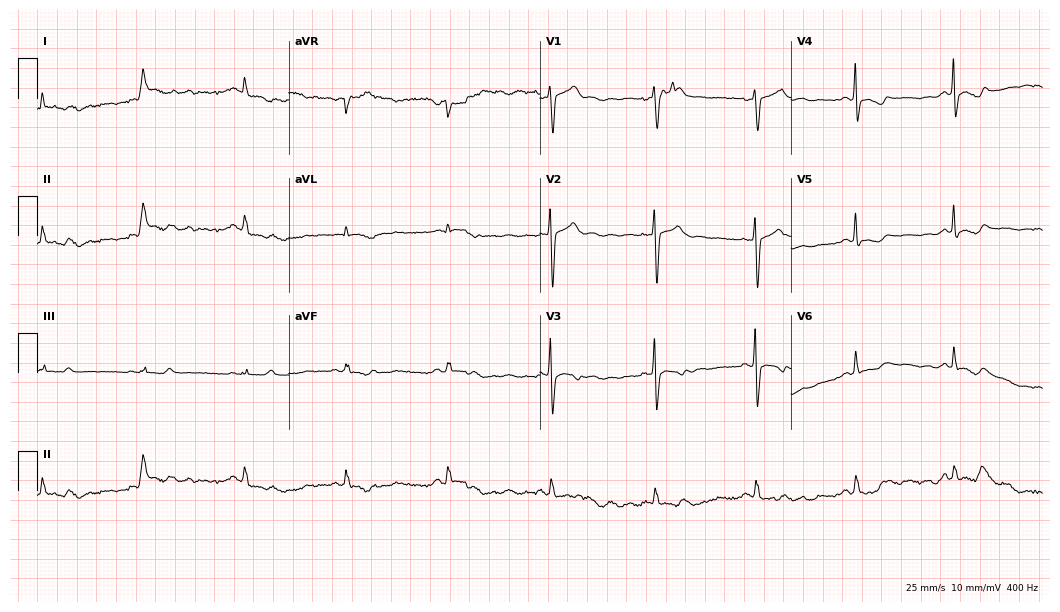
12-lead ECG (10.2-second recording at 400 Hz) from a 64-year-old female. Screened for six findings — first-degree AV block, right bundle branch block (RBBB), left bundle branch block (LBBB), sinus bradycardia, atrial fibrillation (AF), sinus tachycardia — none is recorded.